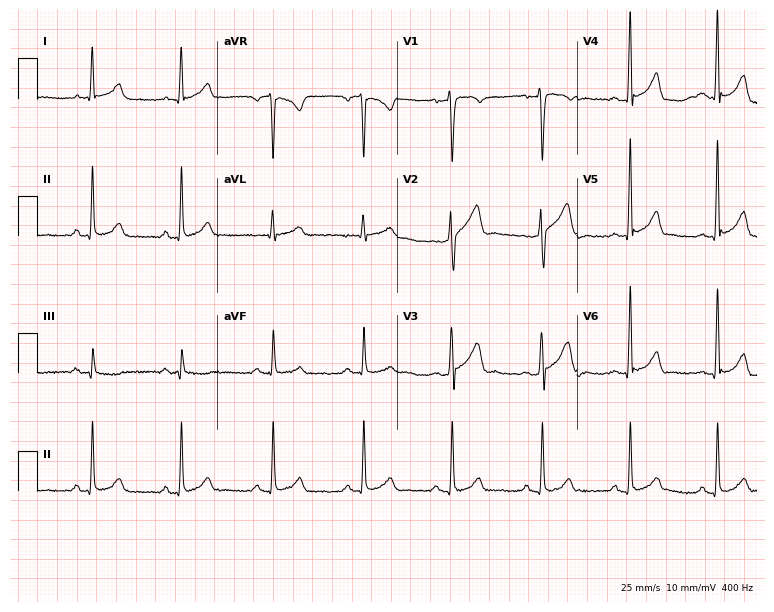
Resting 12-lead electrocardiogram. Patient: a male, 39 years old. None of these six findings is recorded: first-degree AV block, right bundle branch block (RBBB), left bundle branch block (LBBB), sinus bradycardia, atrial fibrillation (AF), sinus tachycardia.